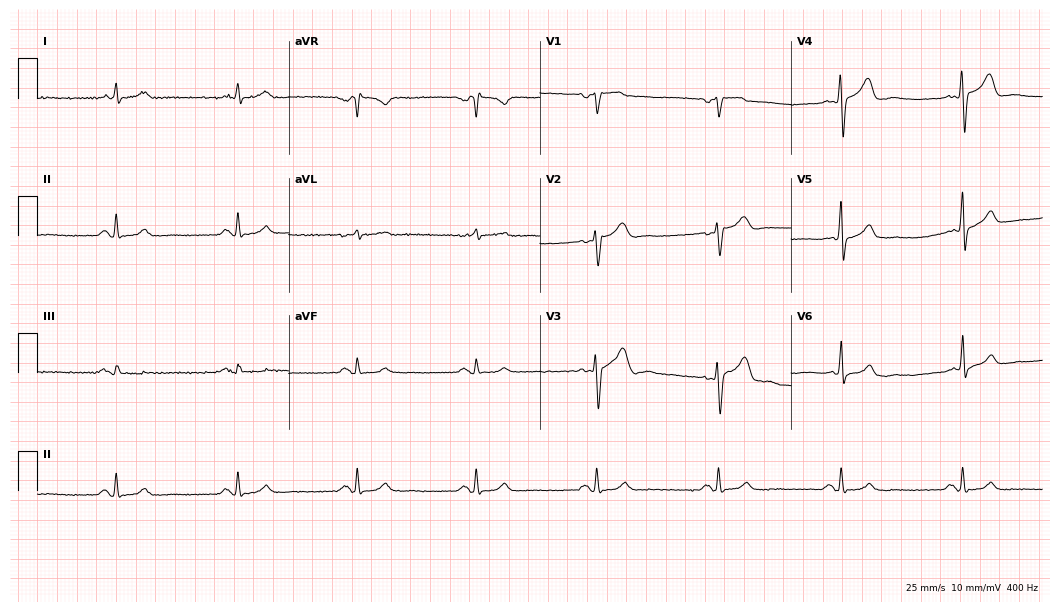
Electrocardiogram, a 53-year-old man. Of the six screened findings (first-degree AV block, right bundle branch block, left bundle branch block, sinus bradycardia, atrial fibrillation, sinus tachycardia), none is recorded. Findings outside these six are not listed.